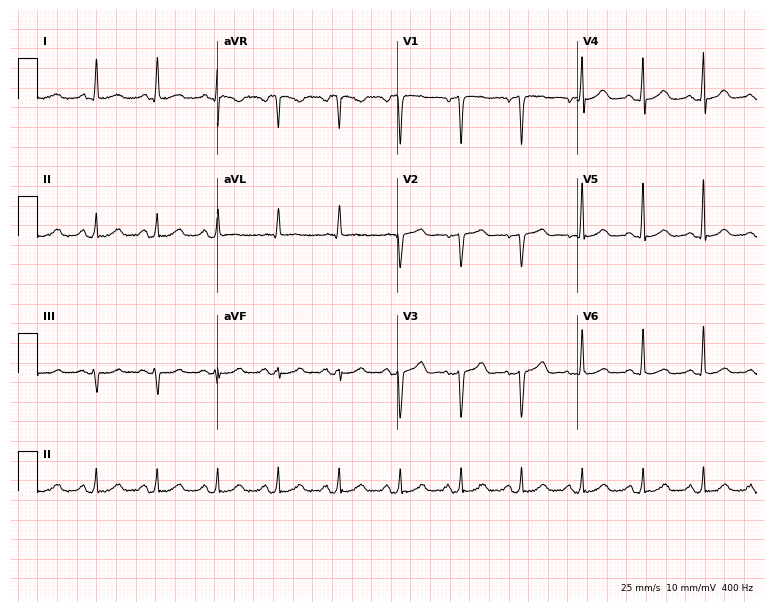
Standard 12-lead ECG recorded from a woman, 70 years old. None of these six findings is recorded: first-degree AV block, right bundle branch block (RBBB), left bundle branch block (LBBB), sinus bradycardia, atrial fibrillation (AF), sinus tachycardia.